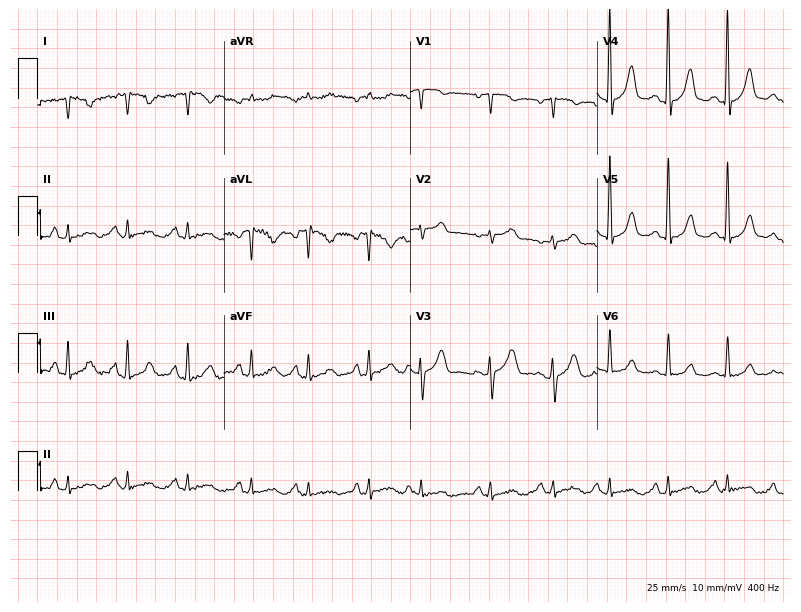
Resting 12-lead electrocardiogram. Patient: a 68-year-old female. None of these six findings is recorded: first-degree AV block, right bundle branch block, left bundle branch block, sinus bradycardia, atrial fibrillation, sinus tachycardia.